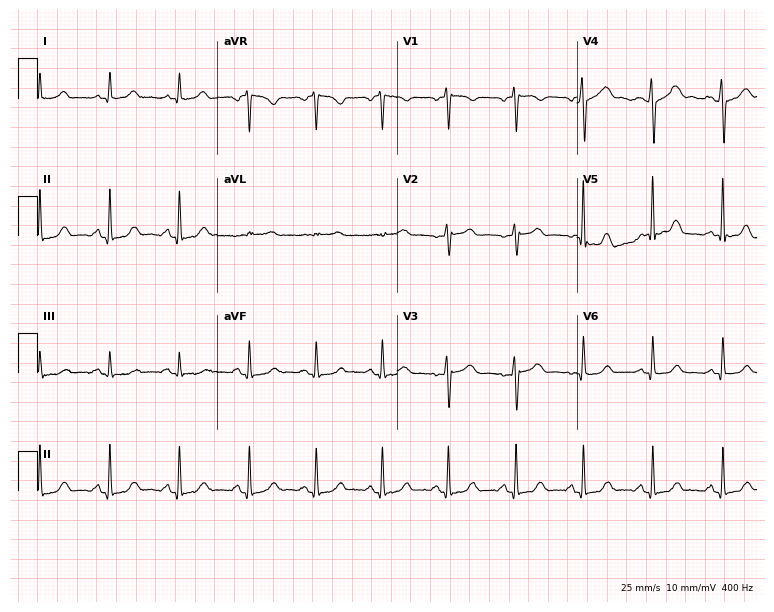
Electrocardiogram, a 54-year-old female patient. Of the six screened findings (first-degree AV block, right bundle branch block (RBBB), left bundle branch block (LBBB), sinus bradycardia, atrial fibrillation (AF), sinus tachycardia), none is recorded.